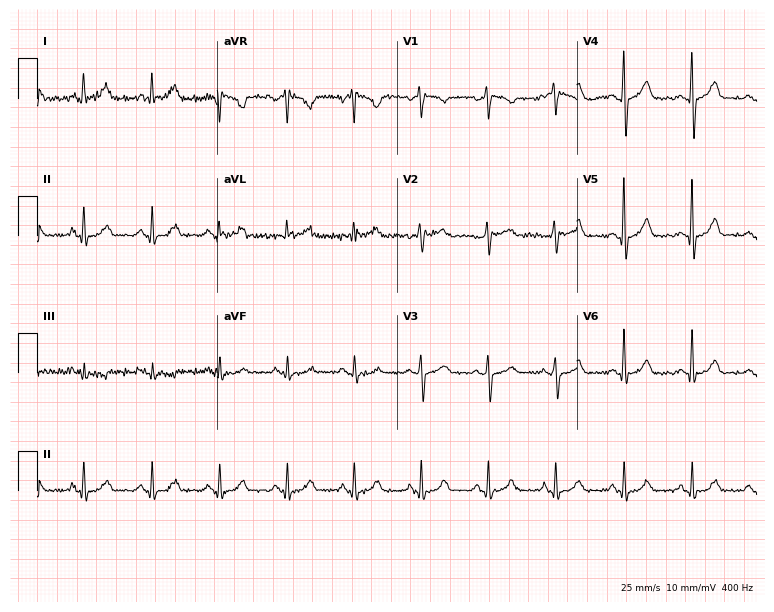
ECG (7.3-second recording at 400 Hz) — a 53-year-old man. Screened for six findings — first-degree AV block, right bundle branch block, left bundle branch block, sinus bradycardia, atrial fibrillation, sinus tachycardia — none is recorded. Other findings, if any, are not listed.